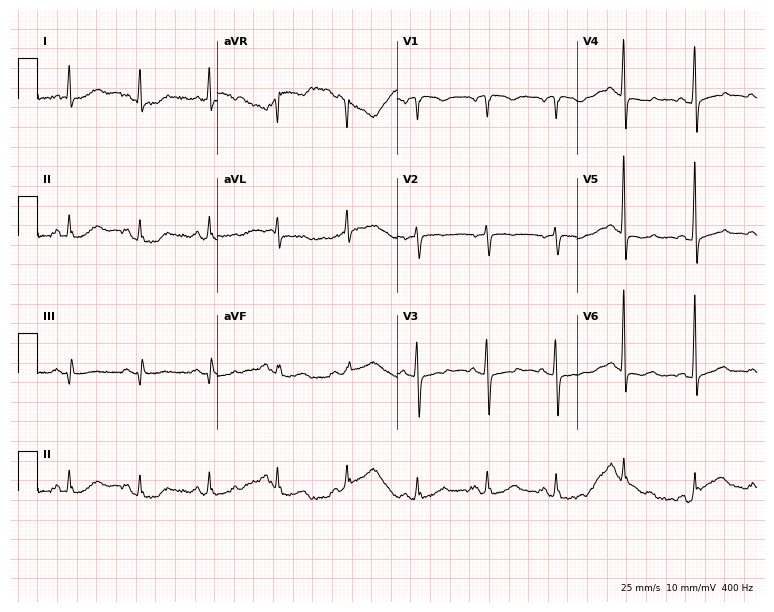
ECG — a woman, 68 years old. Screened for six findings — first-degree AV block, right bundle branch block, left bundle branch block, sinus bradycardia, atrial fibrillation, sinus tachycardia — none is recorded.